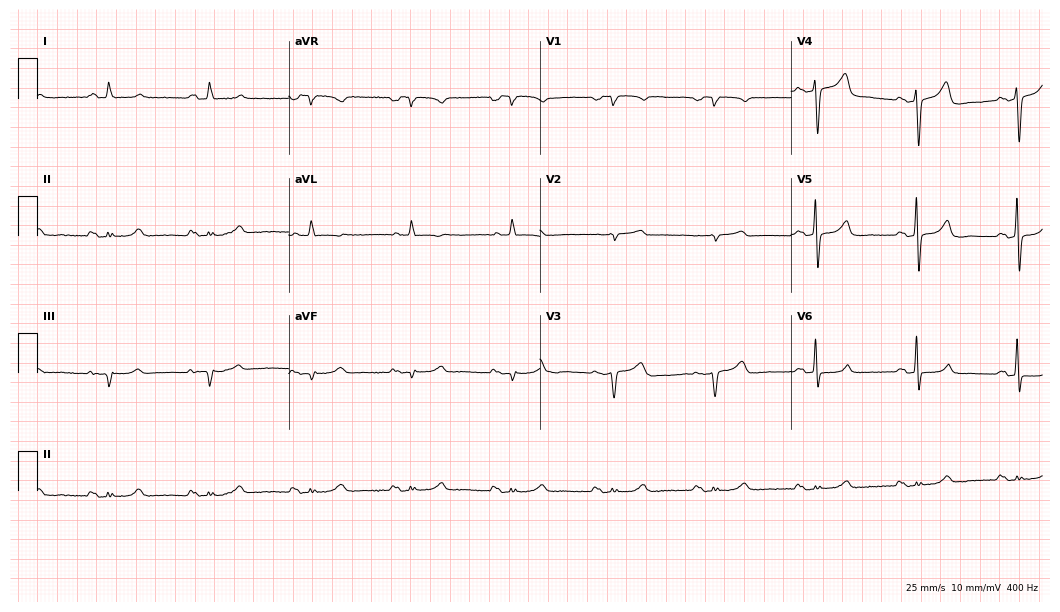
Electrocardiogram (10.2-second recording at 400 Hz), a female patient, 66 years old. Of the six screened findings (first-degree AV block, right bundle branch block (RBBB), left bundle branch block (LBBB), sinus bradycardia, atrial fibrillation (AF), sinus tachycardia), none is recorded.